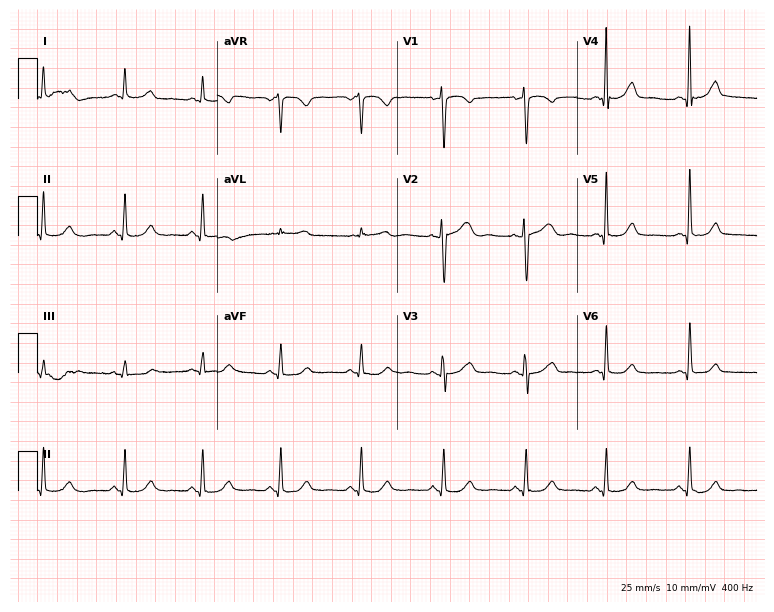
Electrocardiogram, a 45-year-old female patient. Overall reading on record: normal ECG.